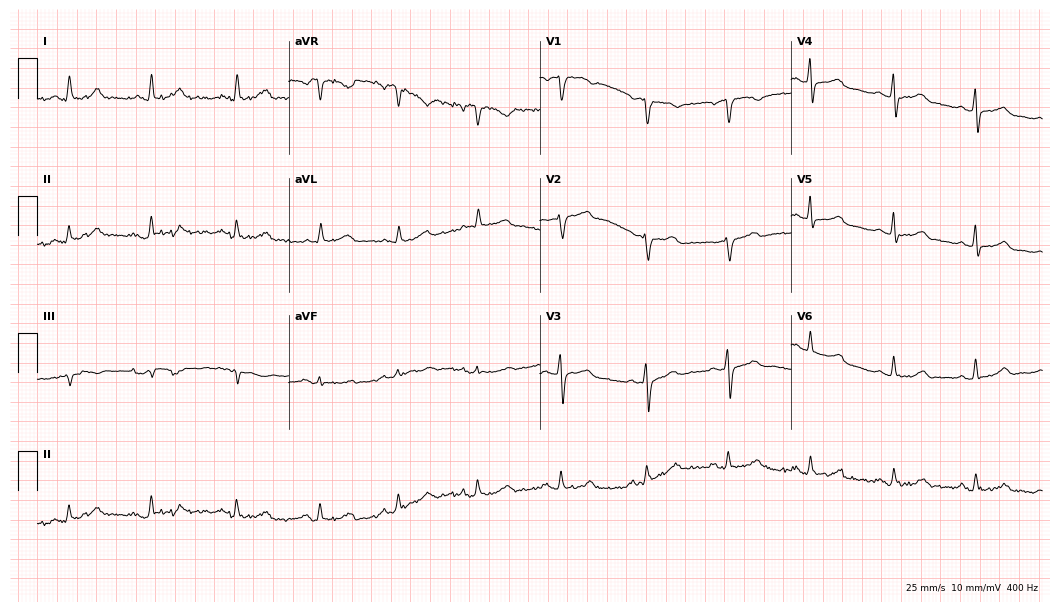
Electrocardiogram, a 36-year-old female. Overall reading on record: normal ECG.